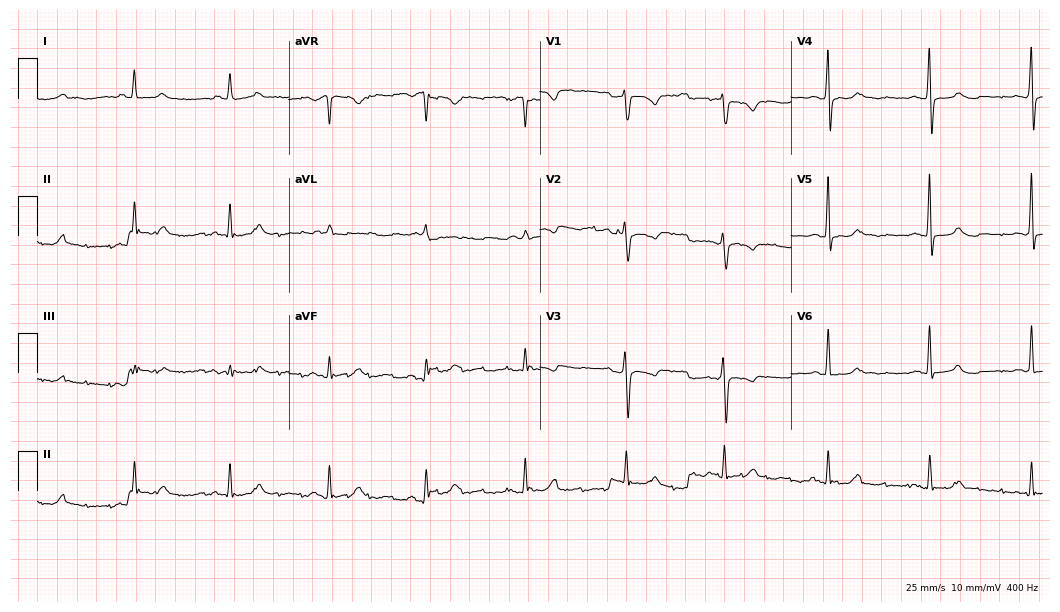
12-lead ECG from a 72-year-old woman (10.2-second recording at 400 Hz). Recorded interpretation: within normal limits.